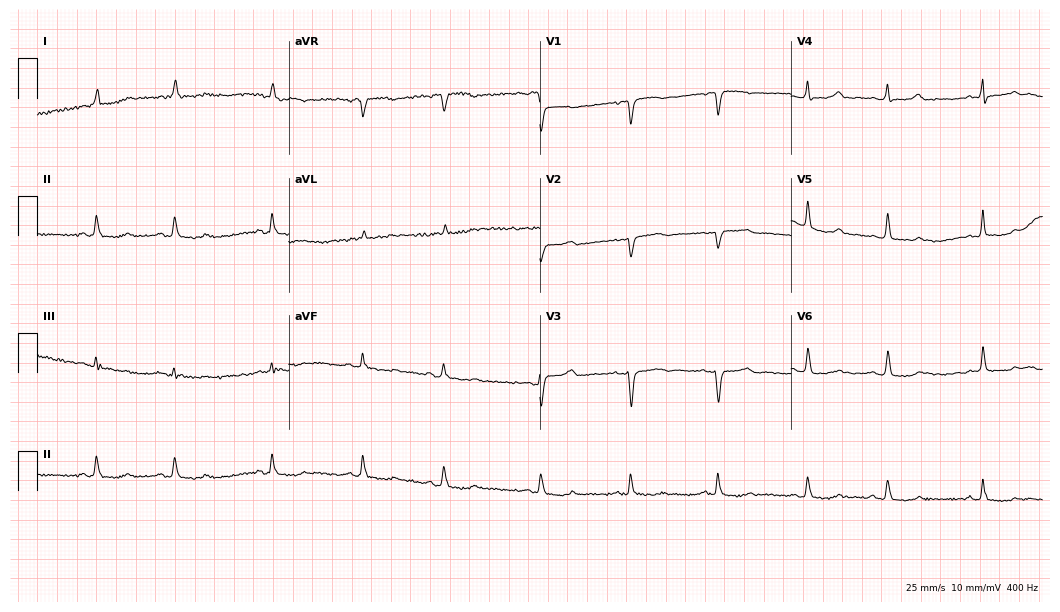
ECG (10.2-second recording at 400 Hz) — a woman, 70 years old. Screened for six findings — first-degree AV block, right bundle branch block (RBBB), left bundle branch block (LBBB), sinus bradycardia, atrial fibrillation (AF), sinus tachycardia — none is recorded. Only these six findings were labelled.